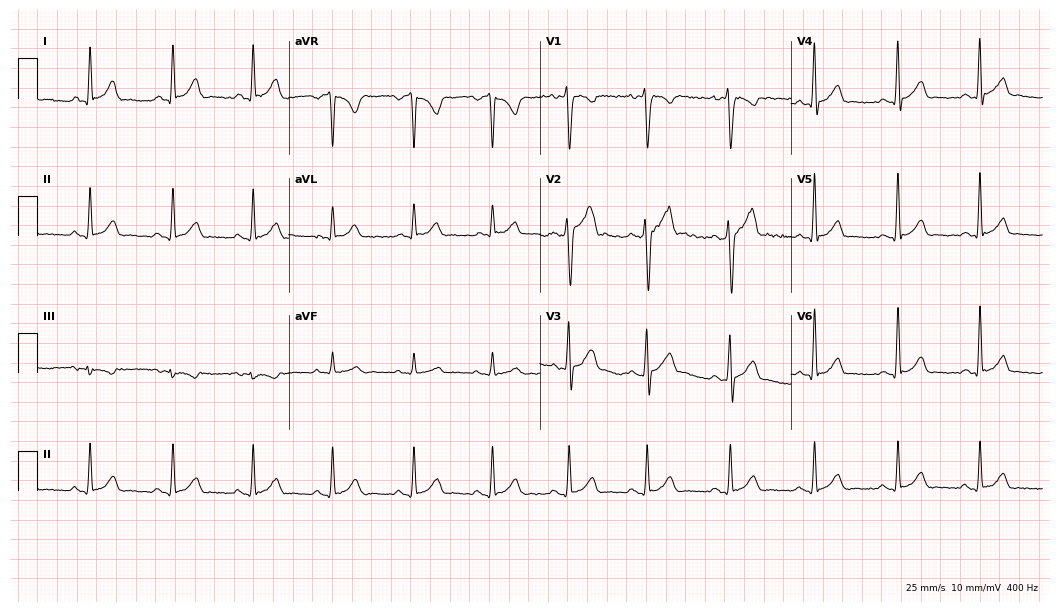
12-lead ECG from a 28-year-old male patient. Labelled as a normal ECG.